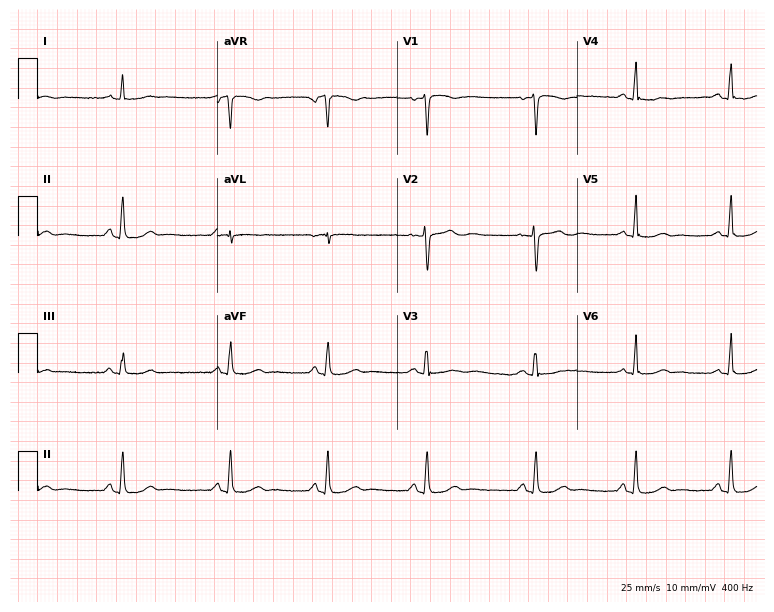
Resting 12-lead electrocardiogram. Patient: a 26-year-old female. None of these six findings is recorded: first-degree AV block, right bundle branch block, left bundle branch block, sinus bradycardia, atrial fibrillation, sinus tachycardia.